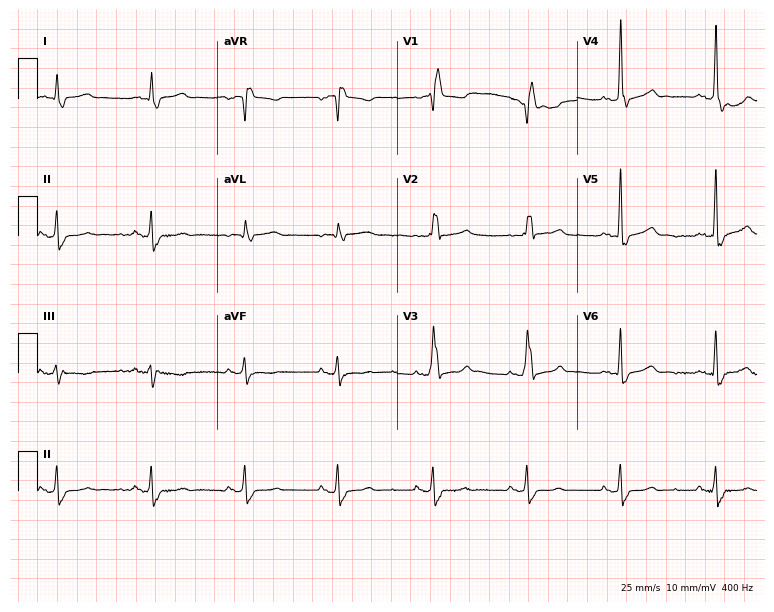
Standard 12-lead ECG recorded from a male patient, 21 years old. The tracing shows right bundle branch block.